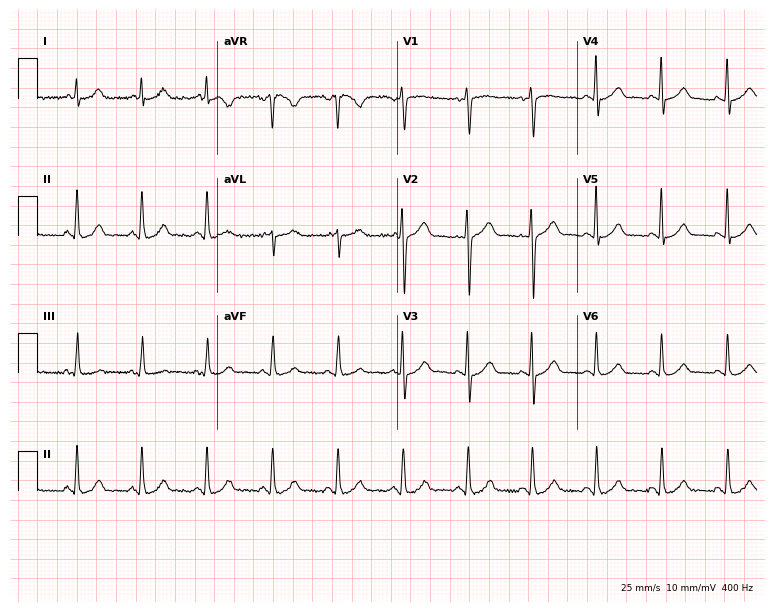
Standard 12-lead ECG recorded from a 50-year-old male (7.3-second recording at 400 Hz). Read as a normal ECG.